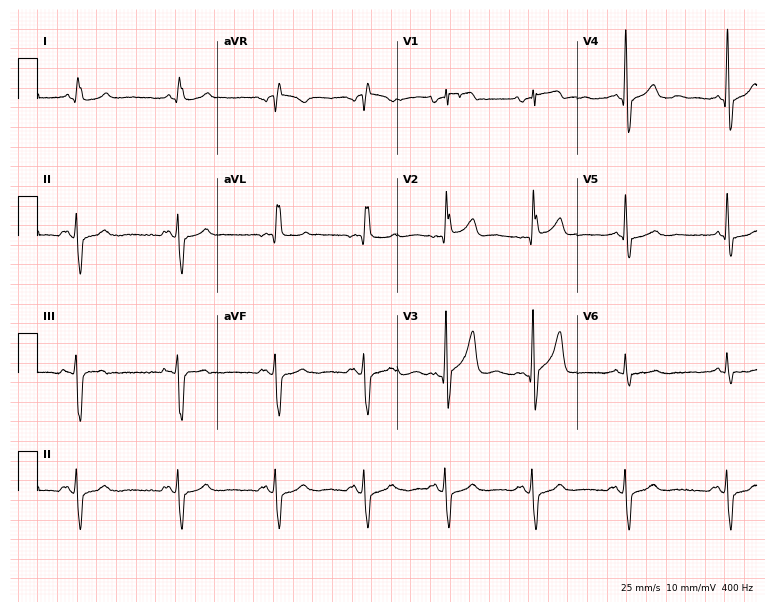
Electrocardiogram (7.3-second recording at 400 Hz), an 84-year-old man. Of the six screened findings (first-degree AV block, right bundle branch block, left bundle branch block, sinus bradycardia, atrial fibrillation, sinus tachycardia), none is recorded.